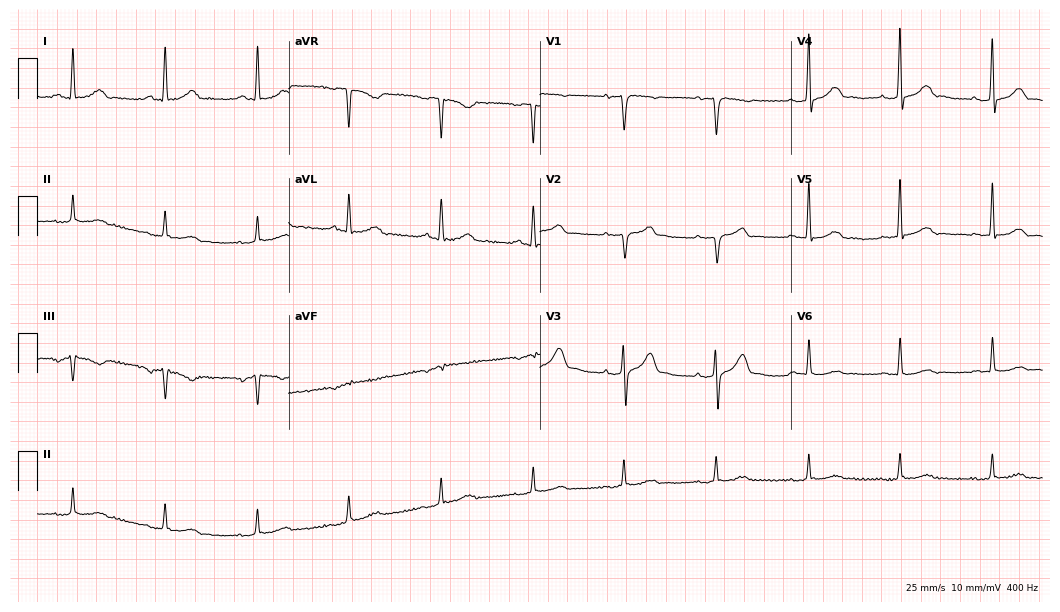
Resting 12-lead electrocardiogram (10.2-second recording at 400 Hz). Patient: a female, 60 years old. None of these six findings is recorded: first-degree AV block, right bundle branch block, left bundle branch block, sinus bradycardia, atrial fibrillation, sinus tachycardia. Findings outside these six are not listed.